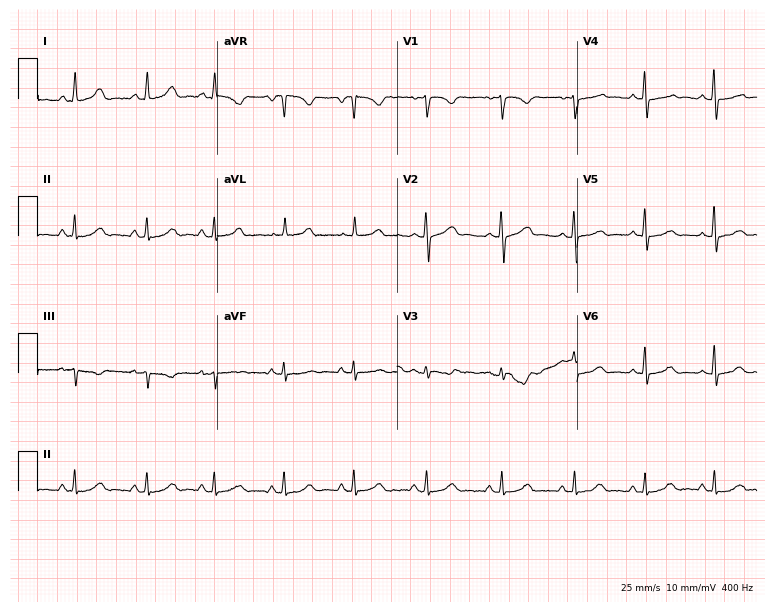
Electrocardiogram, a female, 18 years old. Overall reading on record: normal ECG.